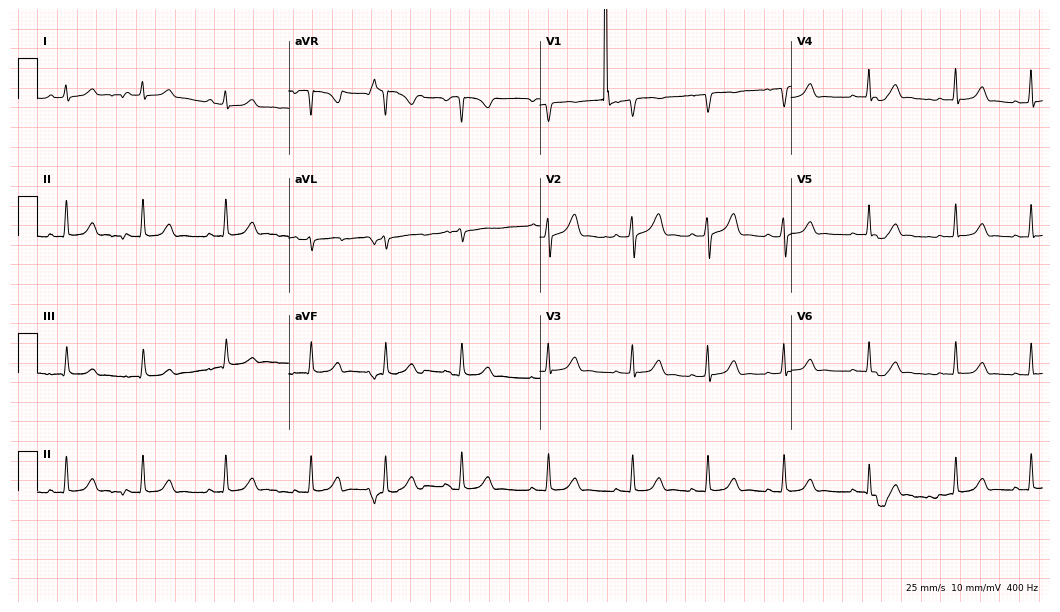
ECG — a 21-year-old woman. Screened for six findings — first-degree AV block, right bundle branch block (RBBB), left bundle branch block (LBBB), sinus bradycardia, atrial fibrillation (AF), sinus tachycardia — none is recorded. Other findings, if any, are not listed.